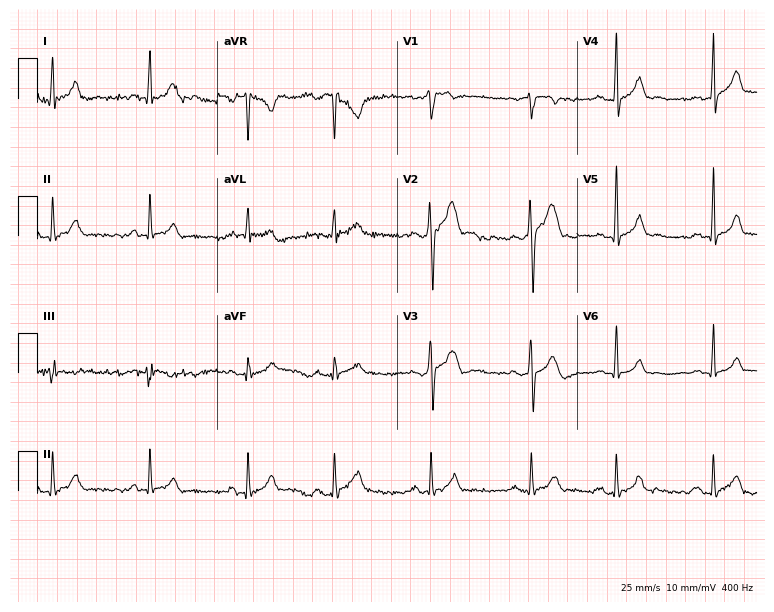
12-lead ECG (7.3-second recording at 400 Hz) from a 30-year-old male. Screened for six findings — first-degree AV block, right bundle branch block (RBBB), left bundle branch block (LBBB), sinus bradycardia, atrial fibrillation (AF), sinus tachycardia — none is recorded.